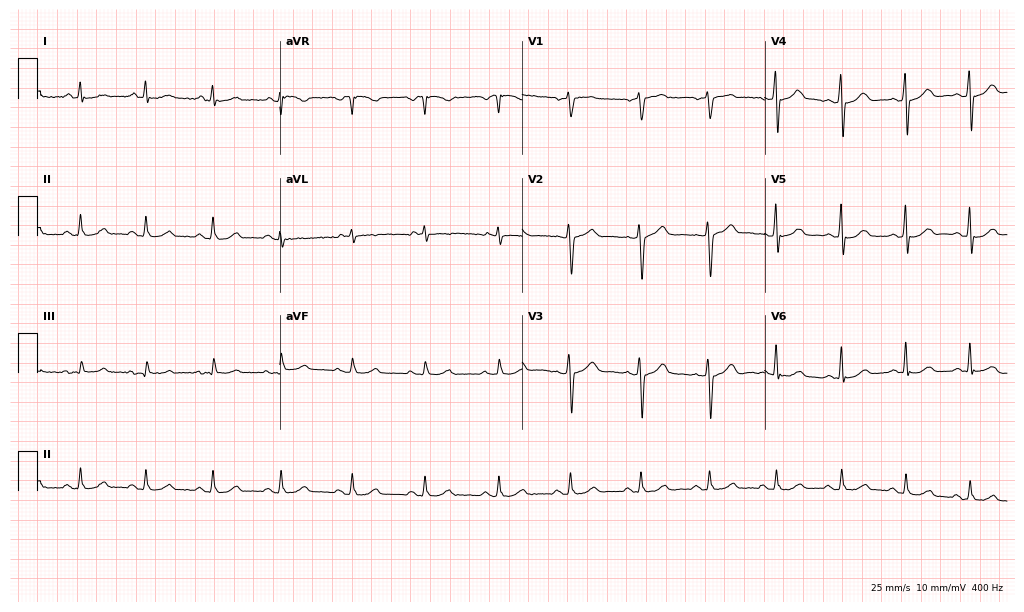
12-lead ECG (9.9-second recording at 400 Hz) from a man, 53 years old. Labelled as a normal ECG.